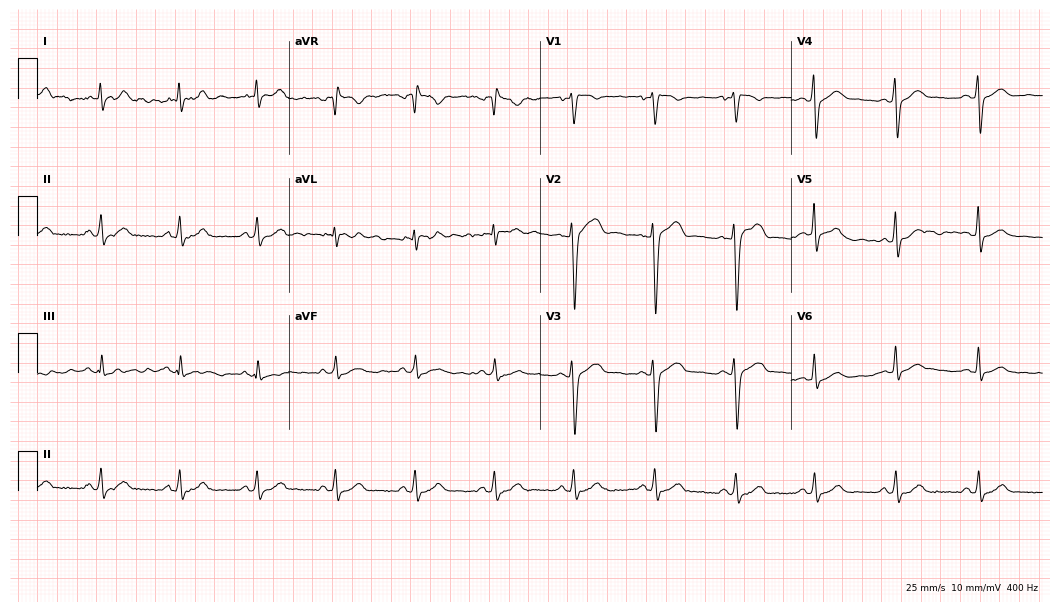
12-lead ECG from a male patient, 30 years old. Labelled as a normal ECG.